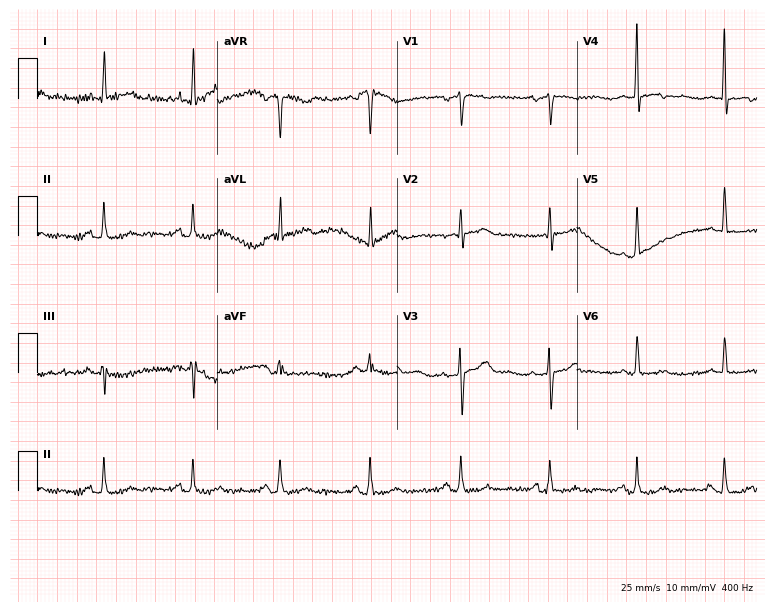
12-lead ECG from a woman, 69 years old. No first-degree AV block, right bundle branch block, left bundle branch block, sinus bradycardia, atrial fibrillation or sinus tachycardia recorded for this tracing. Other findings, if any, are not listed.